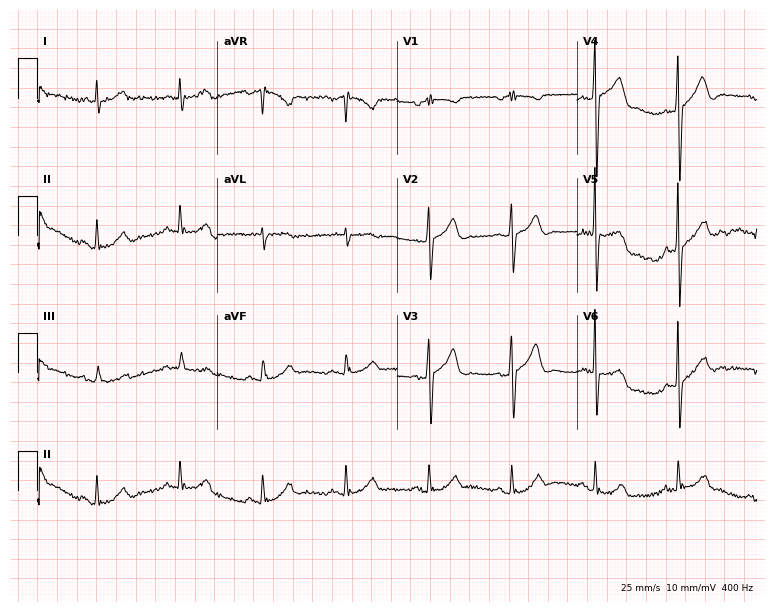
ECG — a 77-year-old male patient. Labelled as a normal ECG.